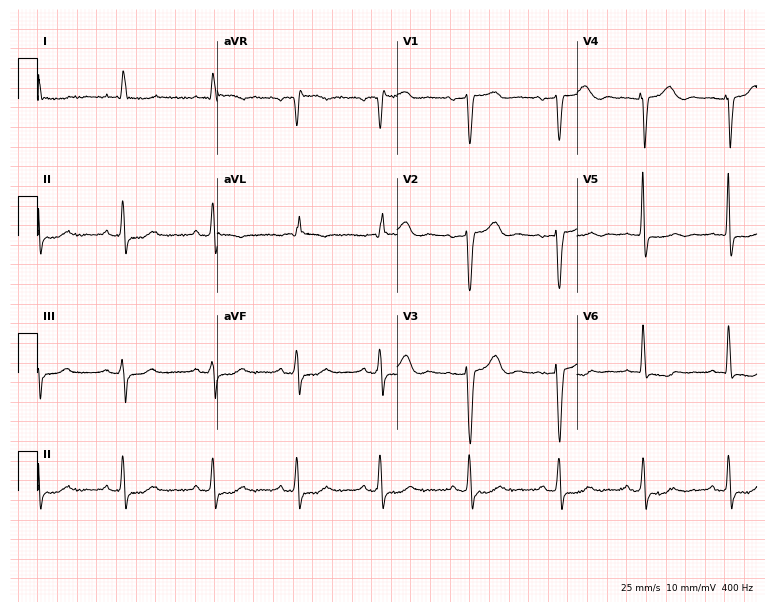
Electrocardiogram, a 72-year-old female. Of the six screened findings (first-degree AV block, right bundle branch block (RBBB), left bundle branch block (LBBB), sinus bradycardia, atrial fibrillation (AF), sinus tachycardia), none is recorded.